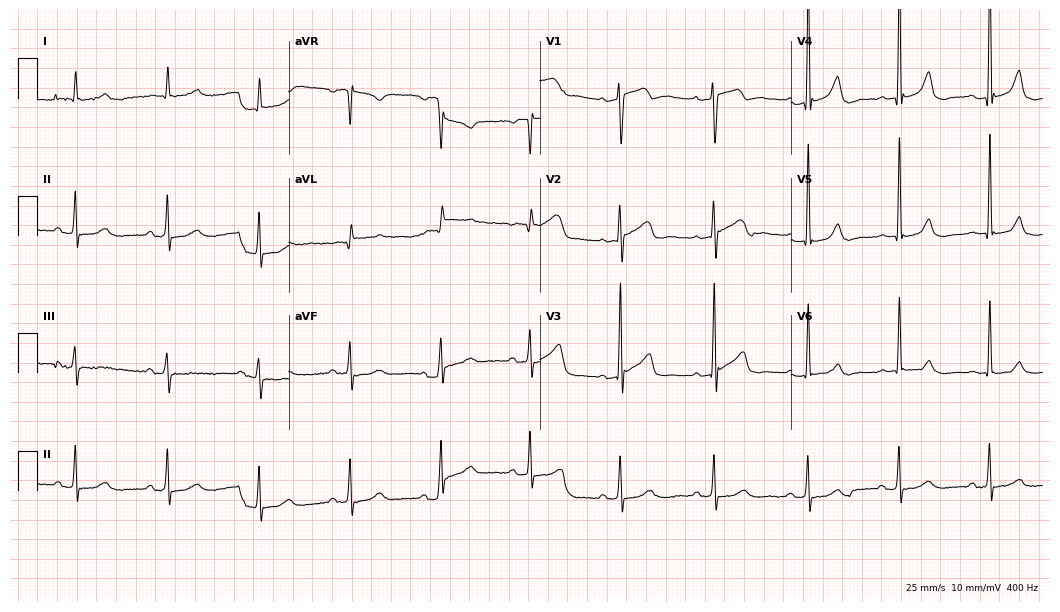
Electrocardiogram, a male, 84 years old. Of the six screened findings (first-degree AV block, right bundle branch block (RBBB), left bundle branch block (LBBB), sinus bradycardia, atrial fibrillation (AF), sinus tachycardia), none is recorded.